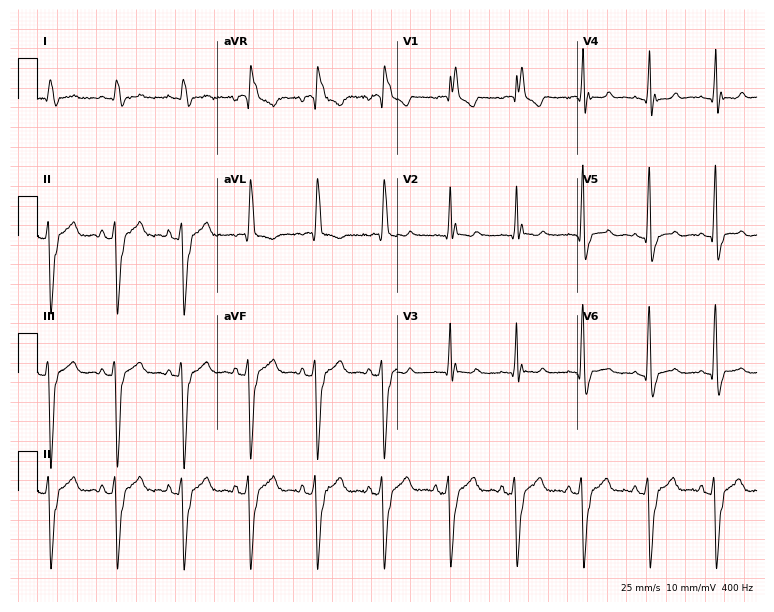
Resting 12-lead electrocardiogram (7.3-second recording at 400 Hz). Patient: a 72-year-old man. The tracing shows right bundle branch block (RBBB).